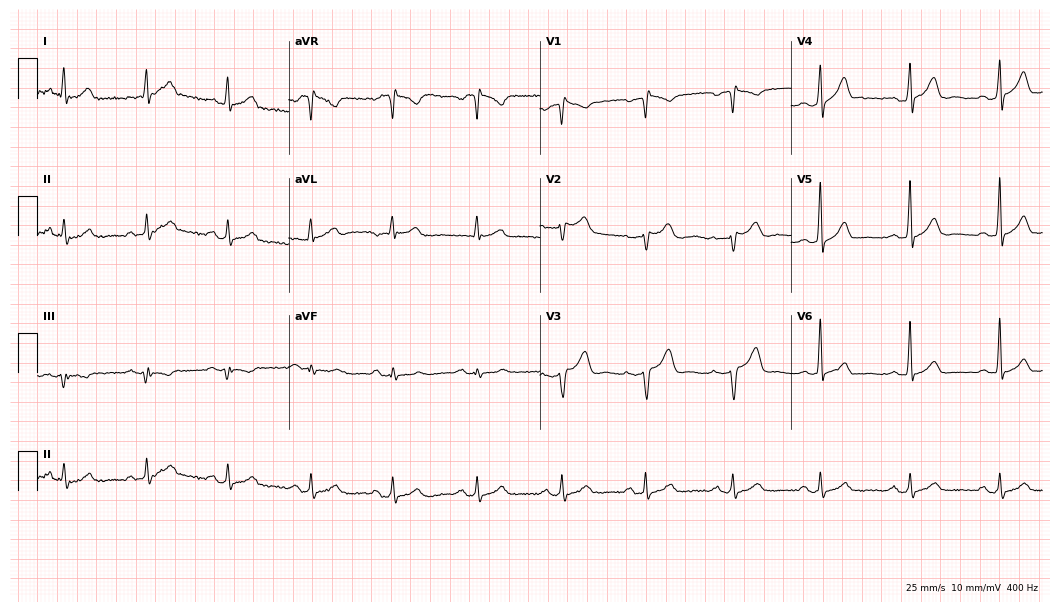
12-lead ECG from a man, 57 years old. Screened for six findings — first-degree AV block, right bundle branch block, left bundle branch block, sinus bradycardia, atrial fibrillation, sinus tachycardia — none is recorded.